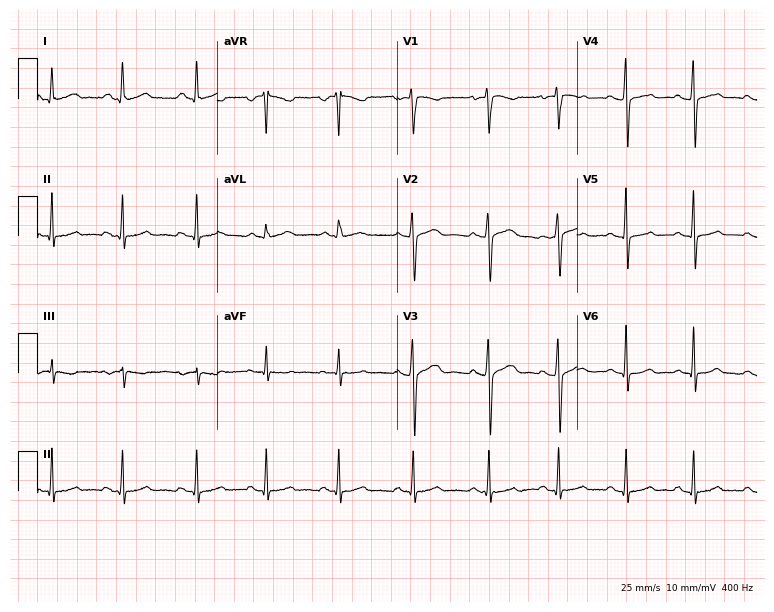
12-lead ECG from a female patient, 21 years old (7.3-second recording at 400 Hz). Recorded interpretation: within normal limits.